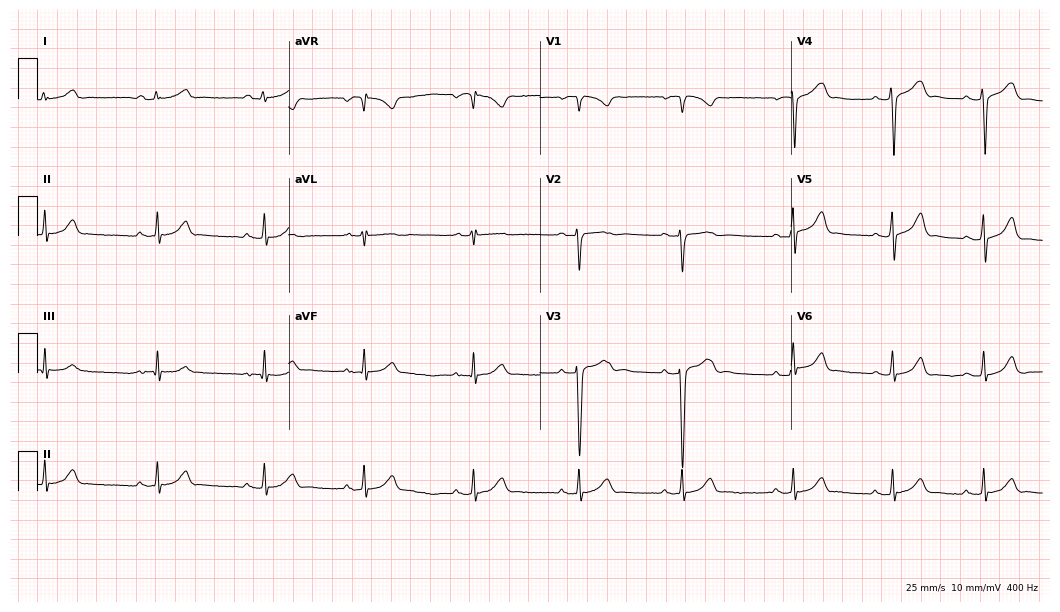
Resting 12-lead electrocardiogram. Patient: a 17-year-old woman. Read as a normal ECG.